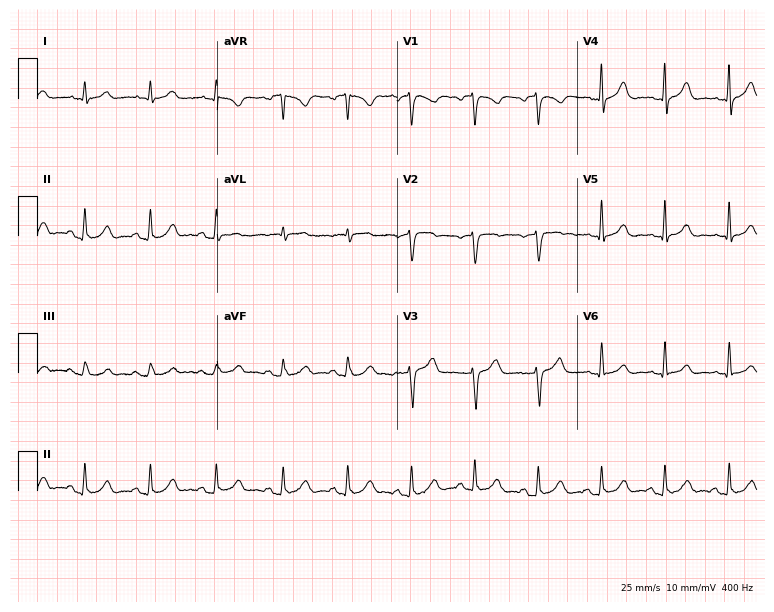
12-lead ECG from a 37-year-old man (7.3-second recording at 400 Hz). Recorded interpretation: within normal limits.